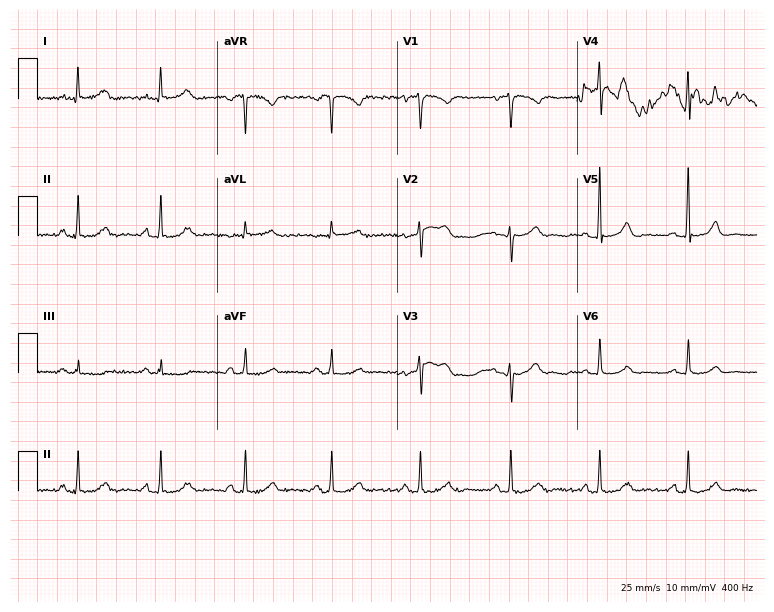
Resting 12-lead electrocardiogram. Patient: a female, 66 years old. None of these six findings is recorded: first-degree AV block, right bundle branch block, left bundle branch block, sinus bradycardia, atrial fibrillation, sinus tachycardia. Only these six findings were labelled.